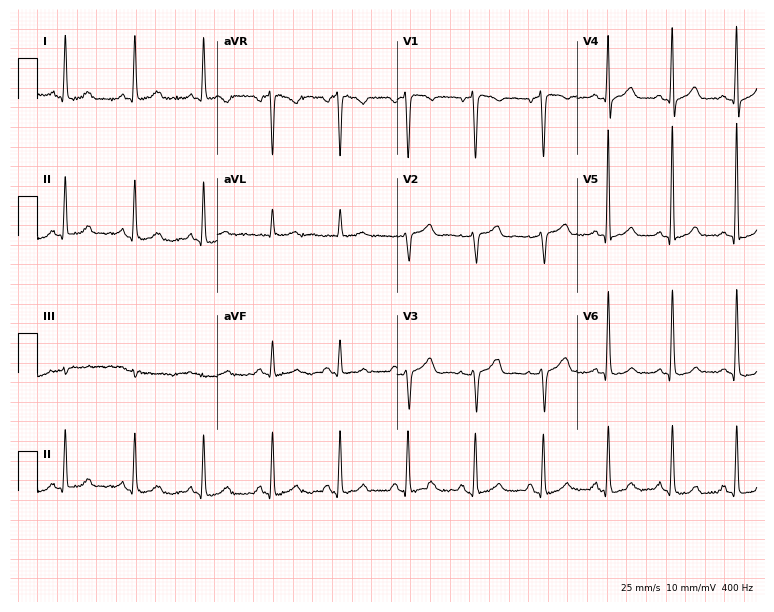
Resting 12-lead electrocardiogram (7.3-second recording at 400 Hz). Patient: a female, 50 years old. Read as a normal ECG.